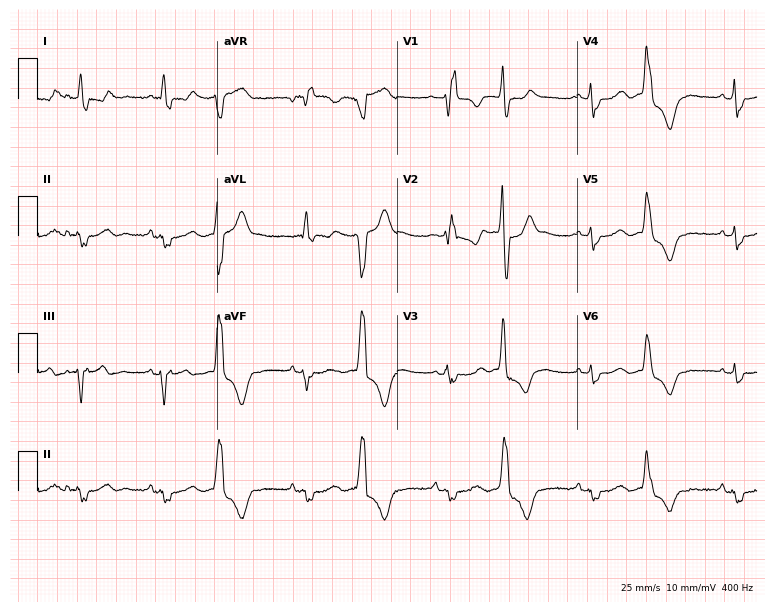
12-lead ECG from a 62-year-old female. Findings include right bundle branch block (RBBB).